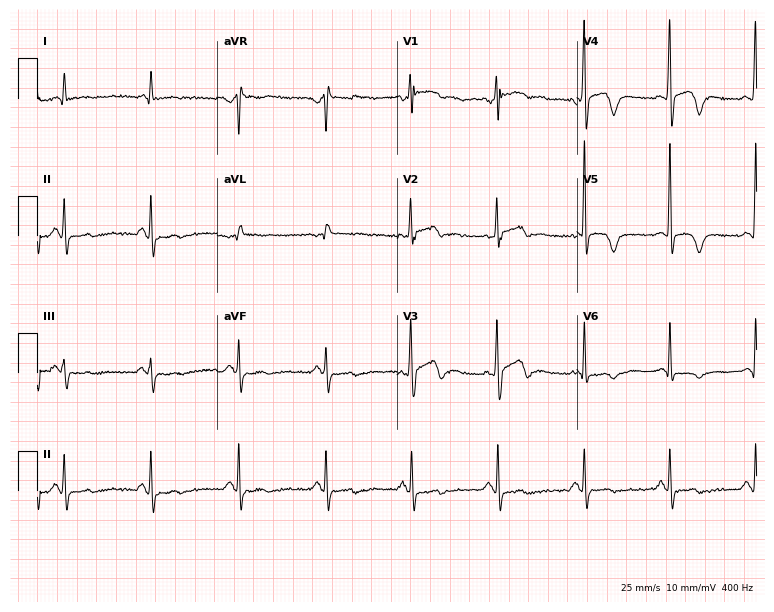
Standard 12-lead ECG recorded from a 72-year-old male (7.3-second recording at 400 Hz). Read as a normal ECG.